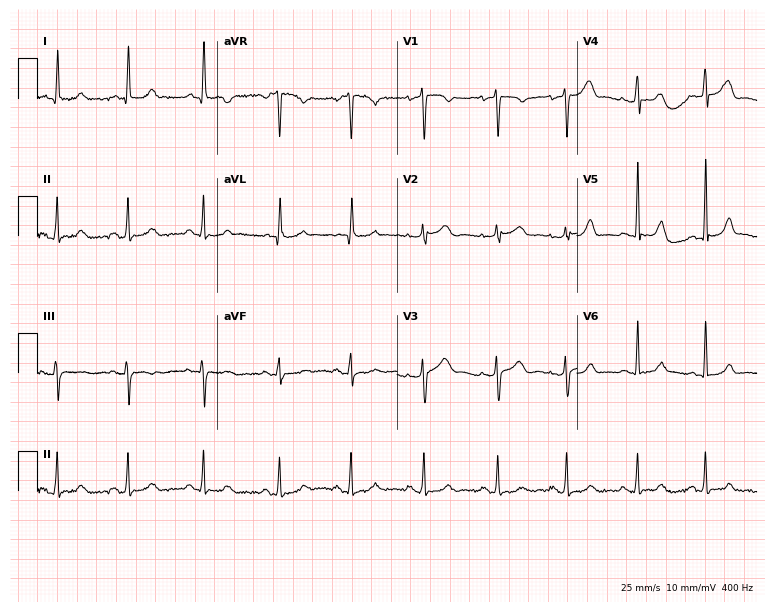
Resting 12-lead electrocardiogram (7.3-second recording at 400 Hz). Patient: a female, 34 years old. None of these six findings is recorded: first-degree AV block, right bundle branch block, left bundle branch block, sinus bradycardia, atrial fibrillation, sinus tachycardia. Findings outside these six are not listed.